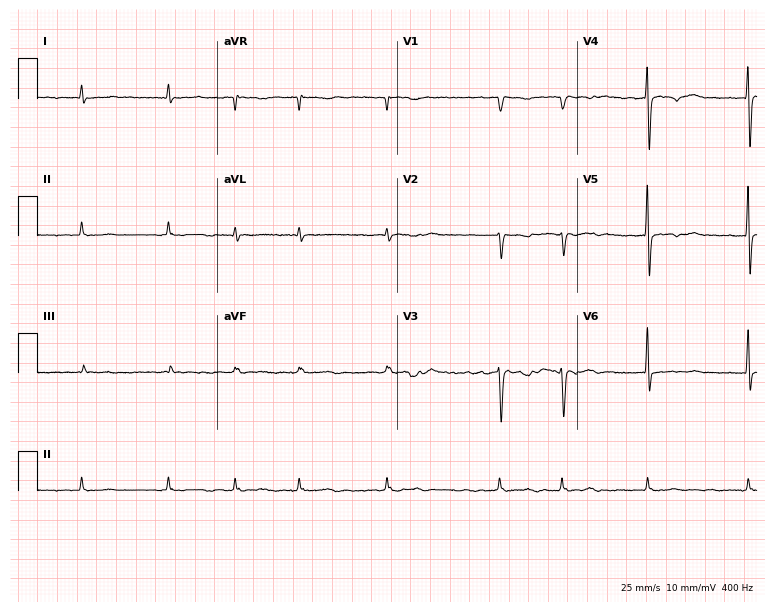
12-lead ECG from a 79-year-old woman (7.3-second recording at 400 Hz). Shows atrial fibrillation.